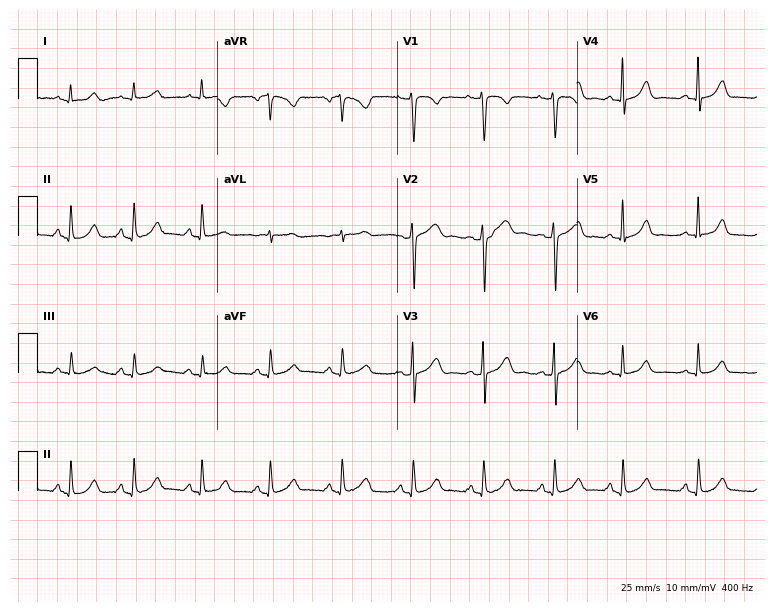
Electrocardiogram, a female patient, 35 years old. Overall reading on record: normal ECG.